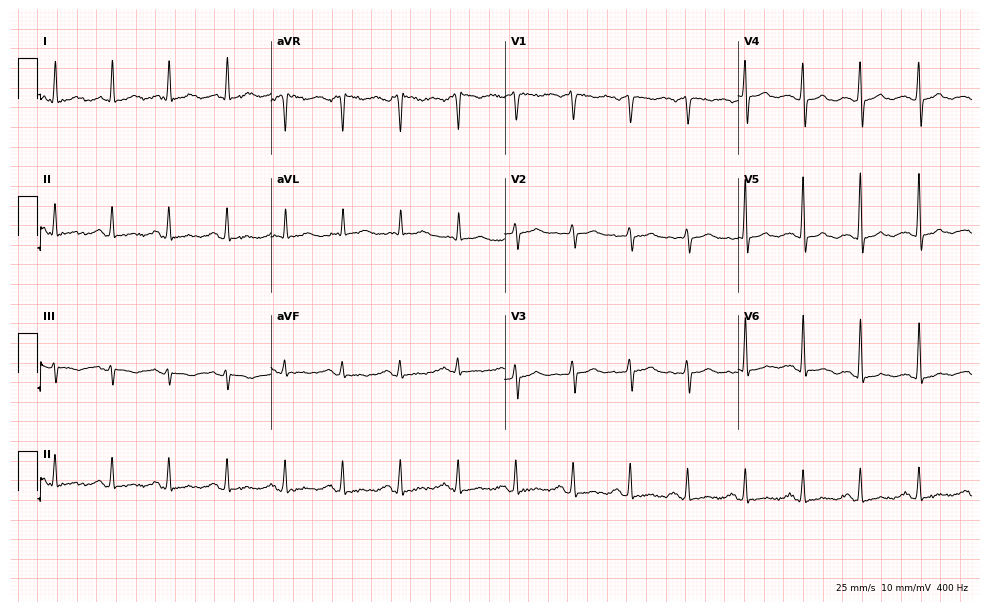
12-lead ECG from a 63-year-old female patient. Labelled as a normal ECG.